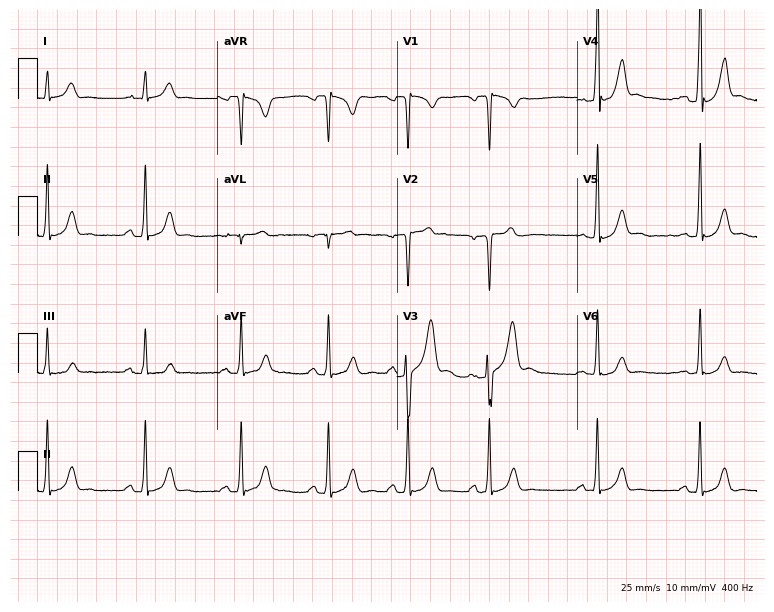
Resting 12-lead electrocardiogram. Patient: a man, 20 years old. Read as a normal ECG.